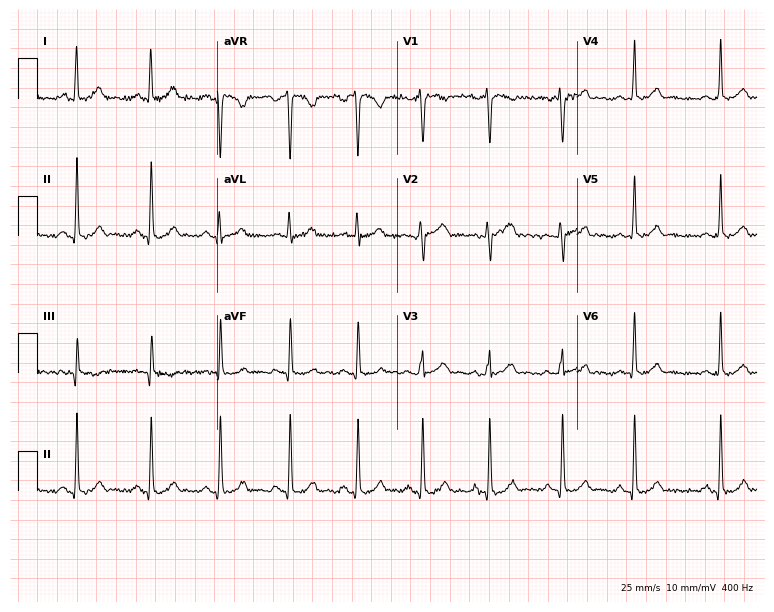
Electrocardiogram, a 28-year-old female patient. Overall reading on record: normal ECG.